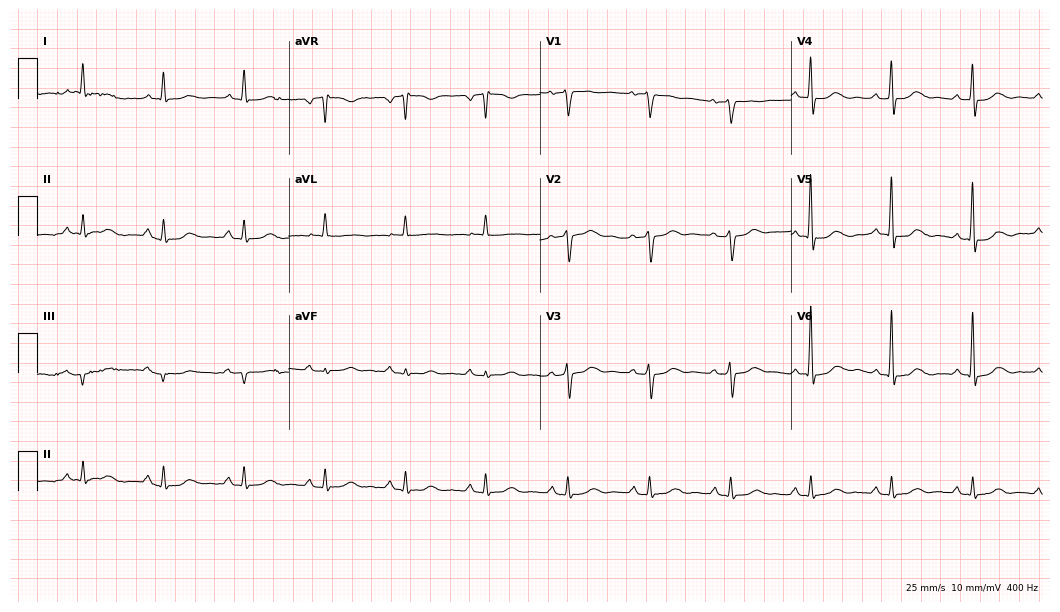
Resting 12-lead electrocardiogram. Patient: a 78-year-old female. None of these six findings is recorded: first-degree AV block, right bundle branch block, left bundle branch block, sinus bradycardia, atrial fibrillation, sinus tachycardia.